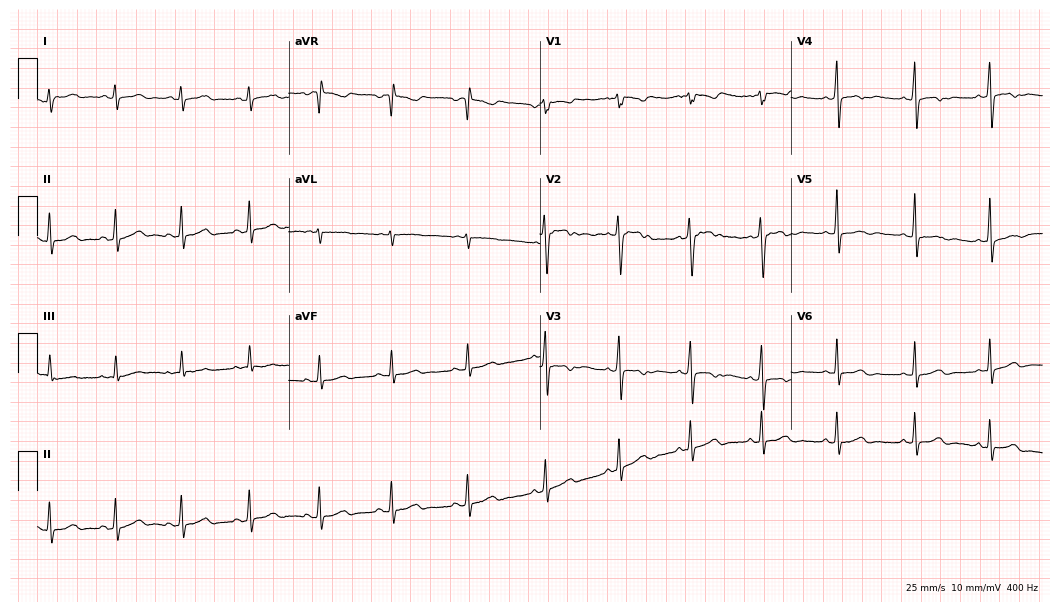
ECG (10.2-second recording at 400 Hz) — a woman, 18 years old. Labelled as a normal ECG.